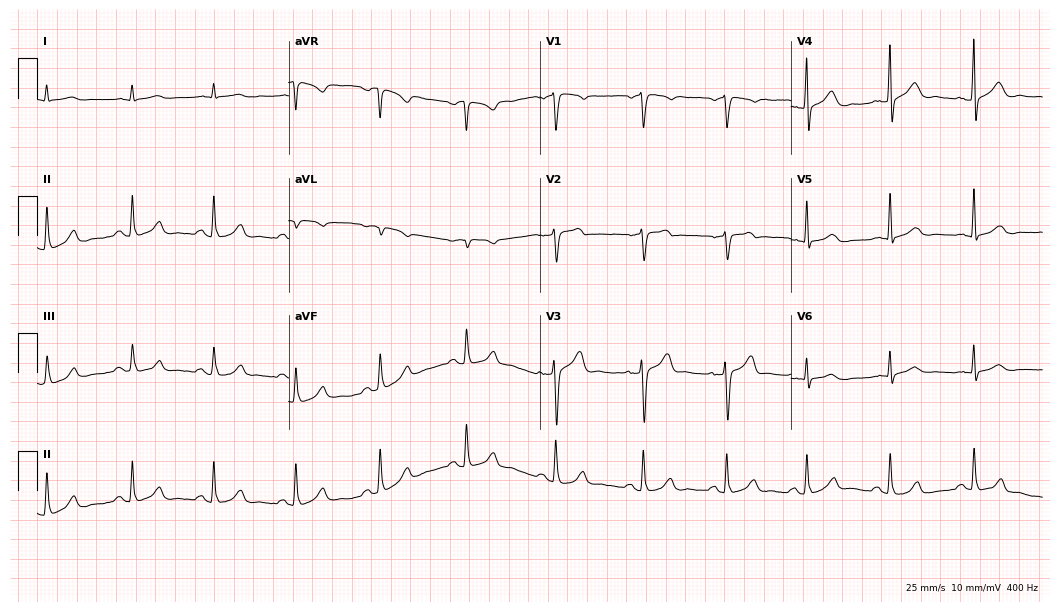
Standard 12-lead ECG recorded from a male patient, 60 years old. None of these six findings is recorded: first-degree AV block, right bundle branch block, left bundle branch block, sinus bradycardia, atrial fibrillation, sinus tachycardia.